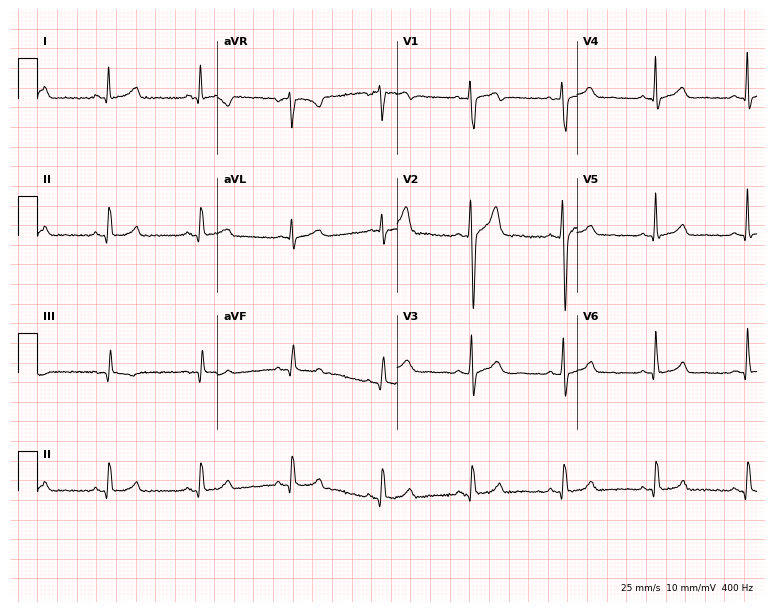
12-lead ECG from a male, 47 years old. Labelled as a normal ECG.